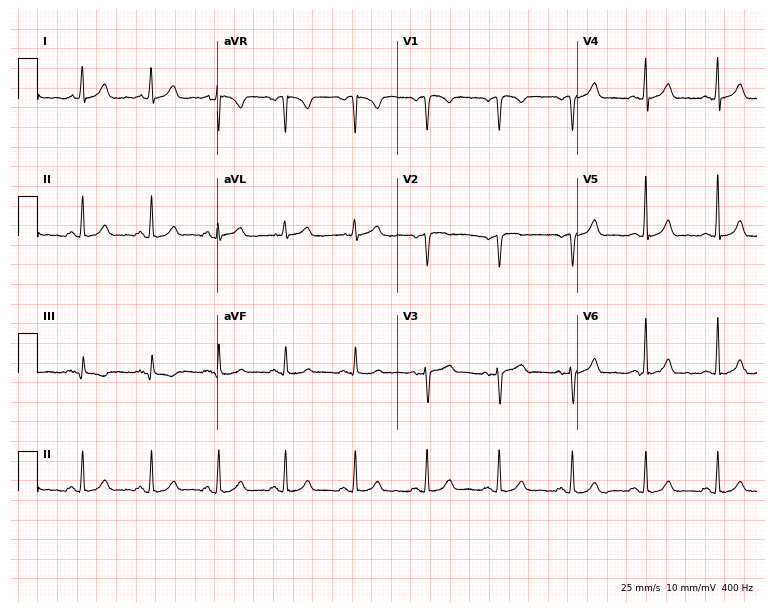
ECG (7.3-second recording at 400 Hz) — a 38-year-old woman. Screened for six findings — first-degree AV block, right bundle branch block (RBBB), left bundle branch block (LBBB), sinus bradycardia, atrial fibrillation (AF), sinus tachycardia — none is recorded. Only these six findings were labelled.